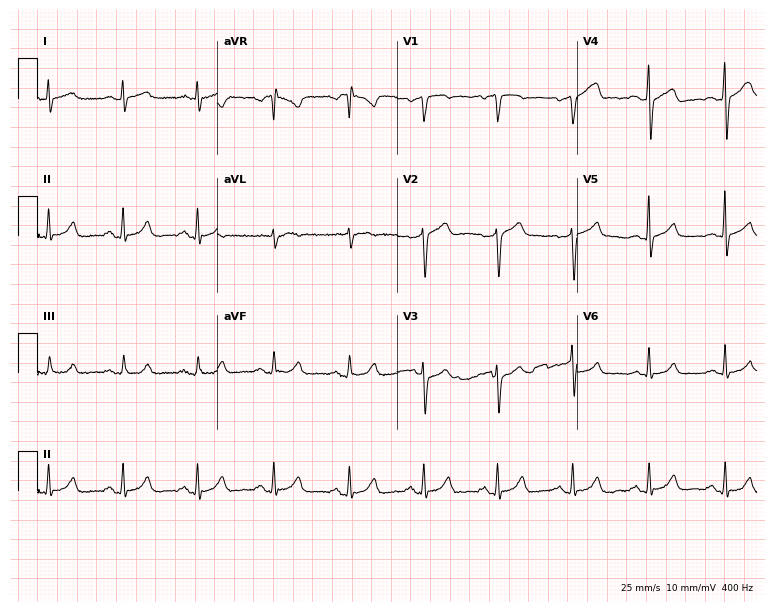
Electrocardiogram (7.3-second recording at 400 Hz), a male, 44 years old. Overall reading on record: normal ECG.